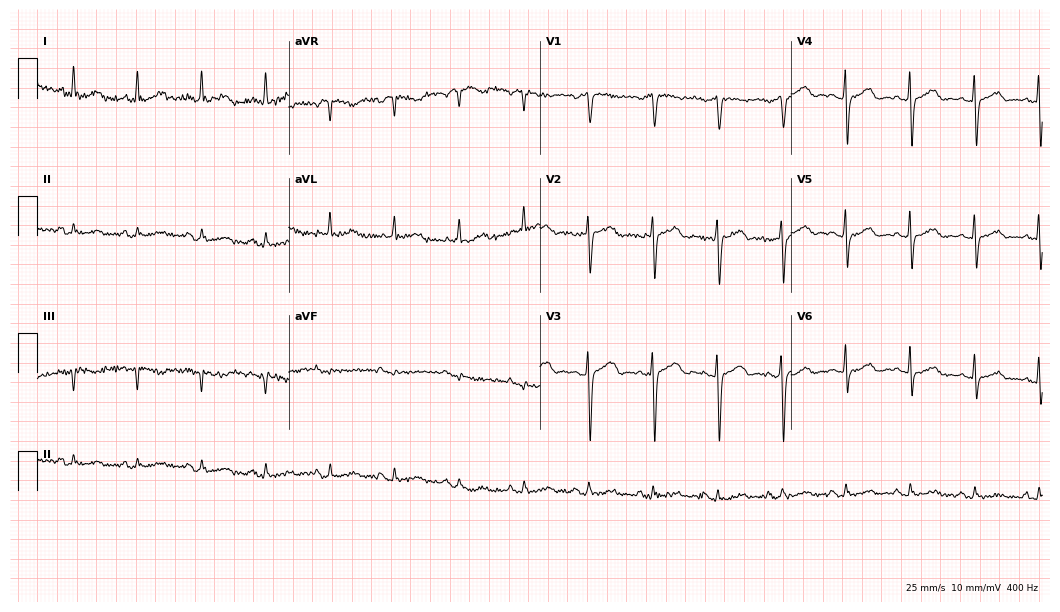
Resting 12-lead electrocardiogram (10.2-second recording at 400 Hz). Patient: a 66-year-old female. None of these six findings is recorded: first-degree AV block, right bundle branch block, left bundle branch block, sinus bradycardia, atrial fibrillation, sinus tachycardia. Other findings, if any, are not listed.